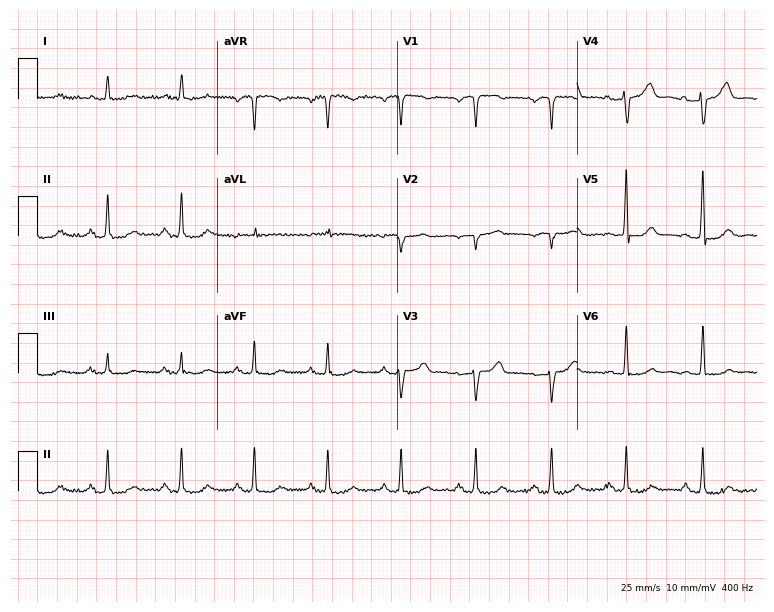
Electrocardiogram (7.3-second recording at 400 Hz), a female, 62 years old. Overall reading on record: normal ECG.